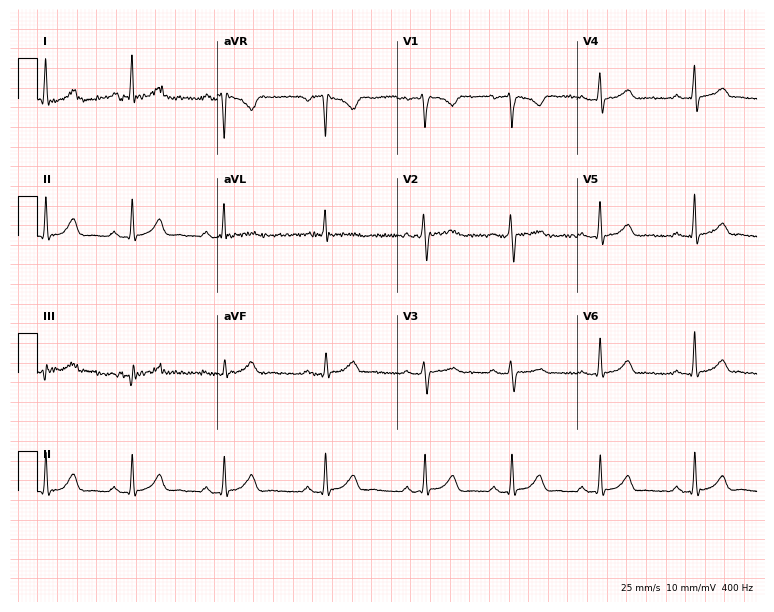
Electrocardiogram (7.3-second recording at 400 Hz), a 45-year-old woman. Overall reading on record: normal ECG.